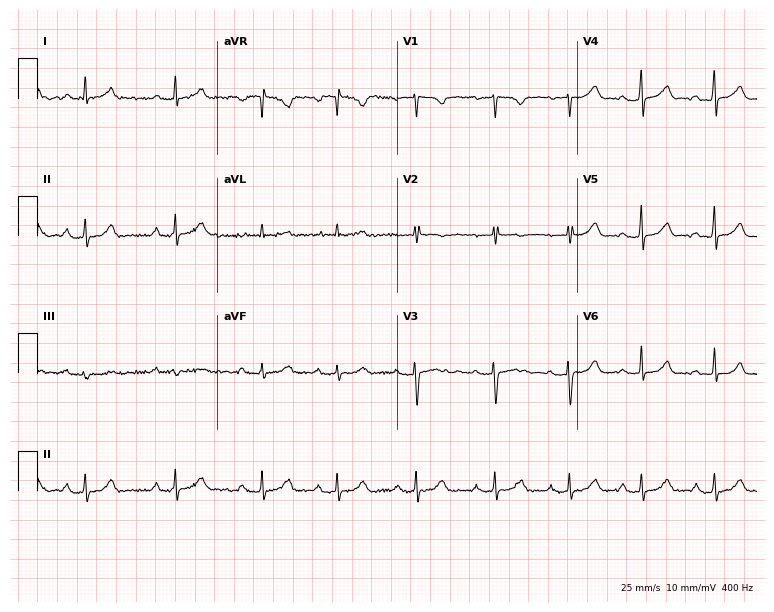
Standard 12-lead ECG recorded from a 19-year-old female (7.3-second recording at 400 Hz). The tracing shows first-degree AV block.